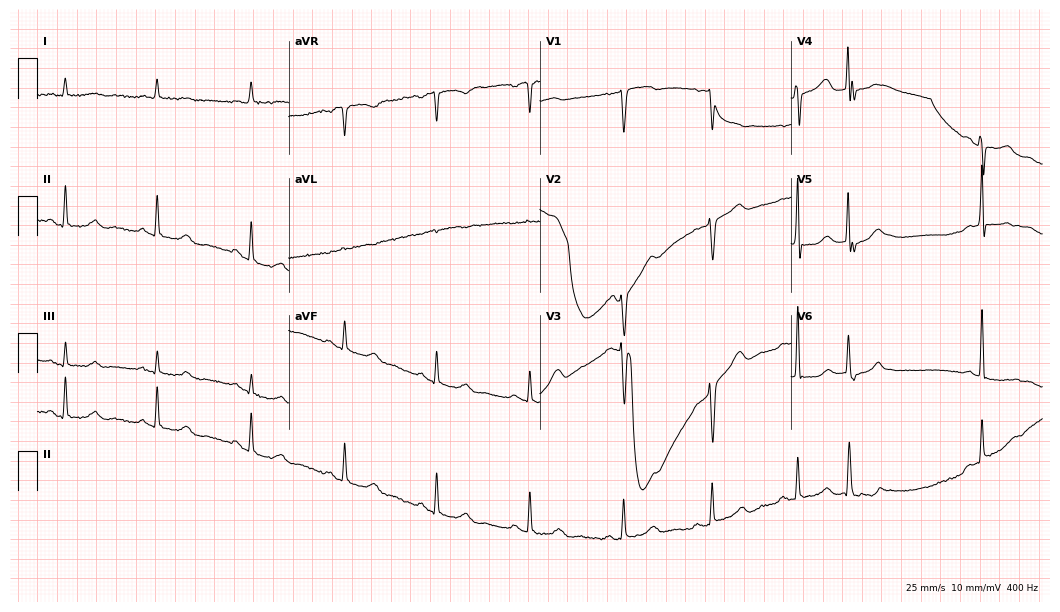
Resting 12-lead electrocardiogram. Patient: a man, 80 years old. None of these six findings is recorded: first-degree AV block, right bundle branch block (RBBB), left bundle branch block (LBBB), sinus bradycardia, atrial fibrillation (AF), sinus tachycardia. Only these six findings were labelled.